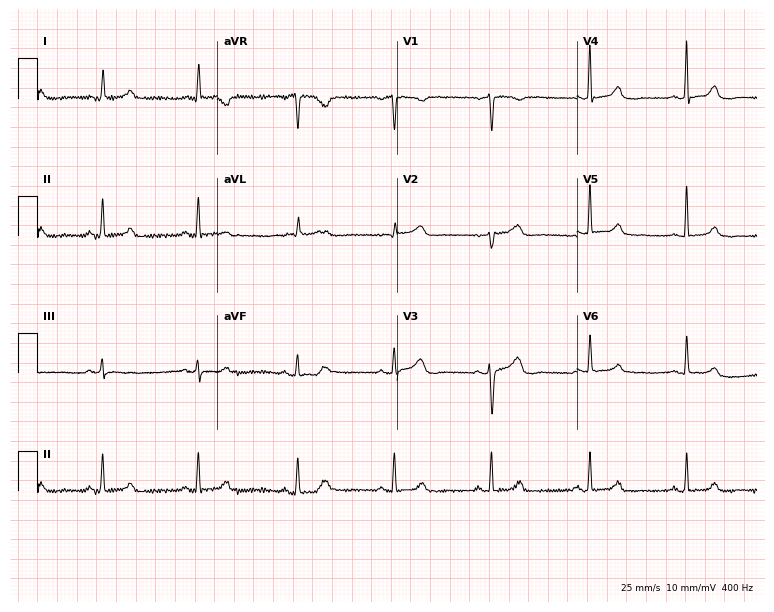
Electrocardiogram (7.3-second recording at 400 Hz), a 59-year-old female. Overall reading on record: normal ECG.